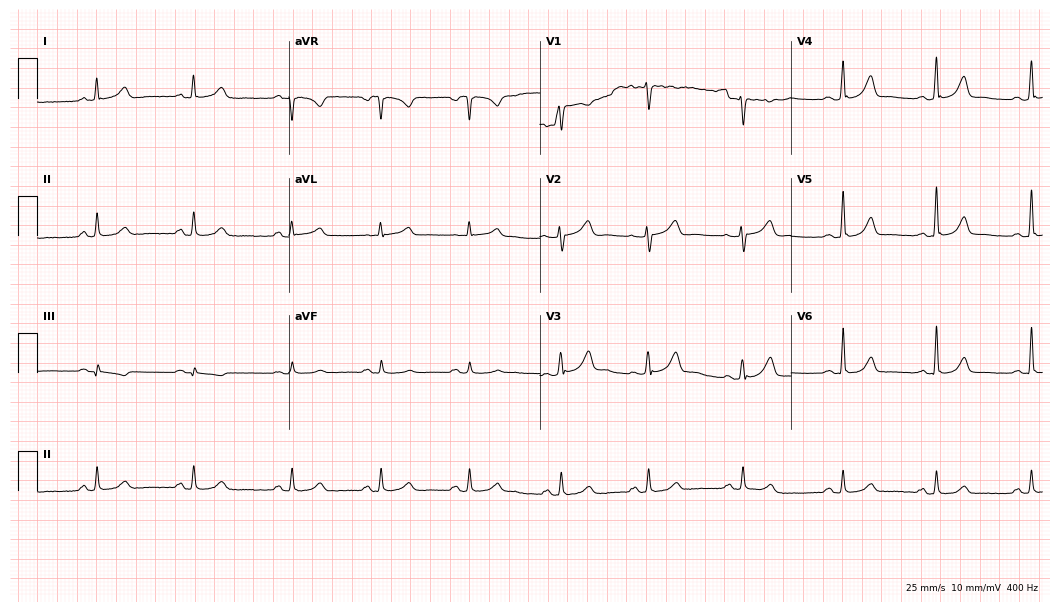
Standard 12-lead ECG recorded from a 39-year-old female. Read as a normal ECG.